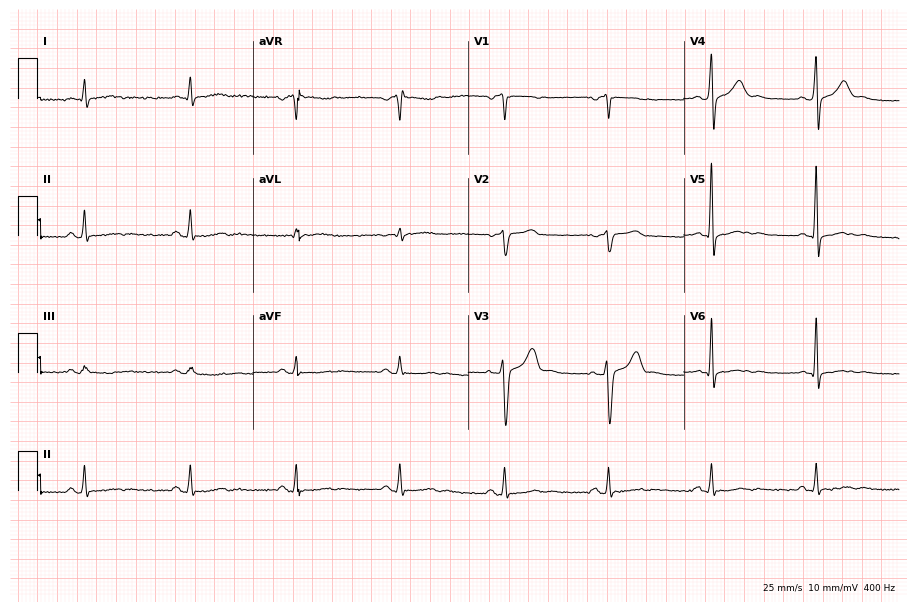
12-lead ECG from a 39-year-old male patient. Labelled as a normal ECG.